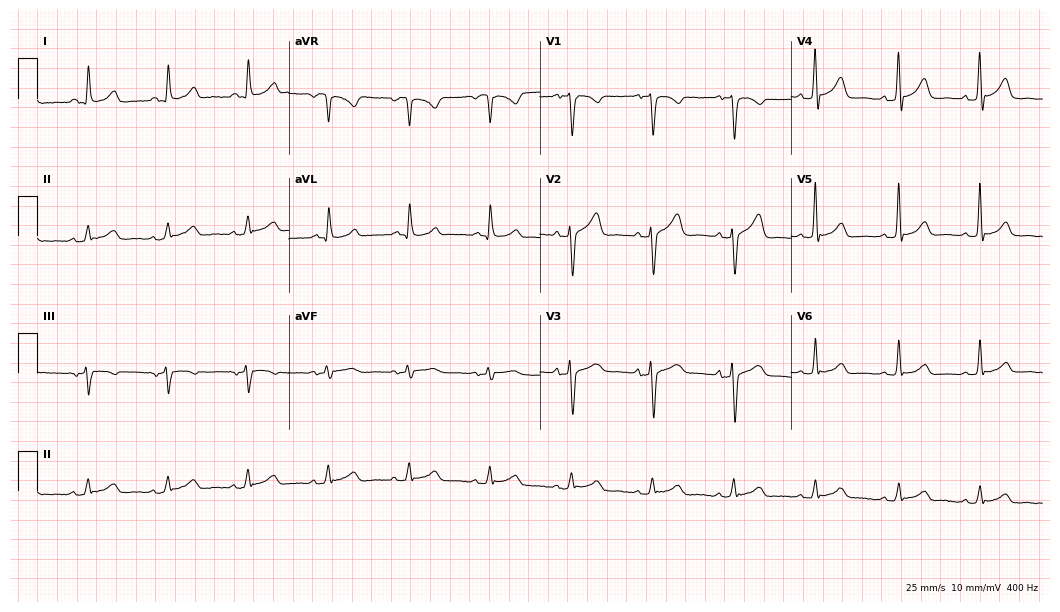
ECG — a 63-year-old male. Screened for six findings — first-degree AV block, right bundle branch block, left bundle branch block, sinus bradycardia, atrial fibrillation, sinus tachycardia — none is recorded. Other findings, if any, are not listed.